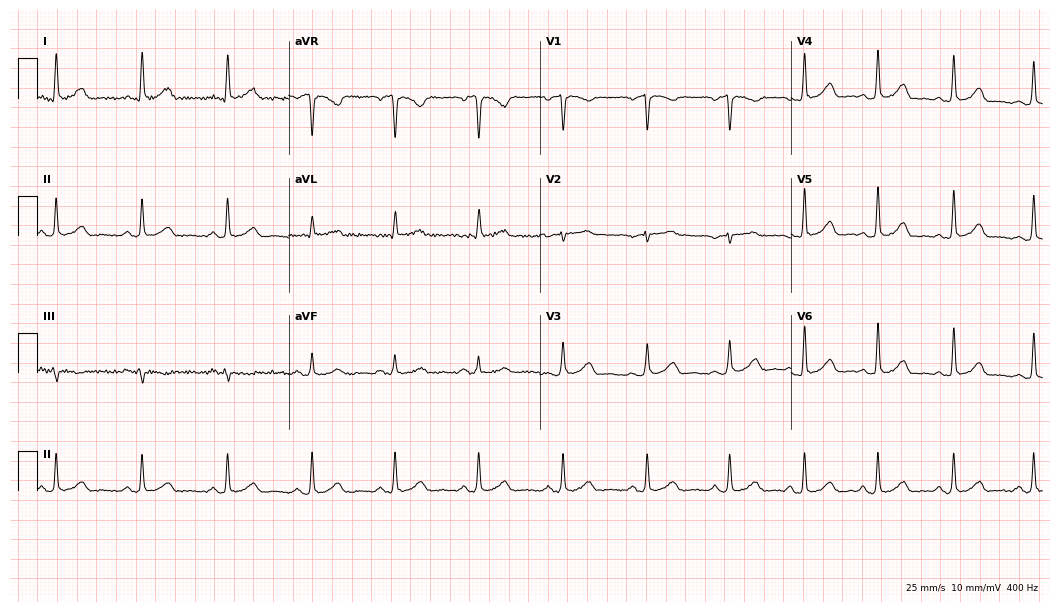
Standard 12-lead ECG recorded from a 54-year-old female (10.2-second recording at 400 Hz). Read as a normal ECG.